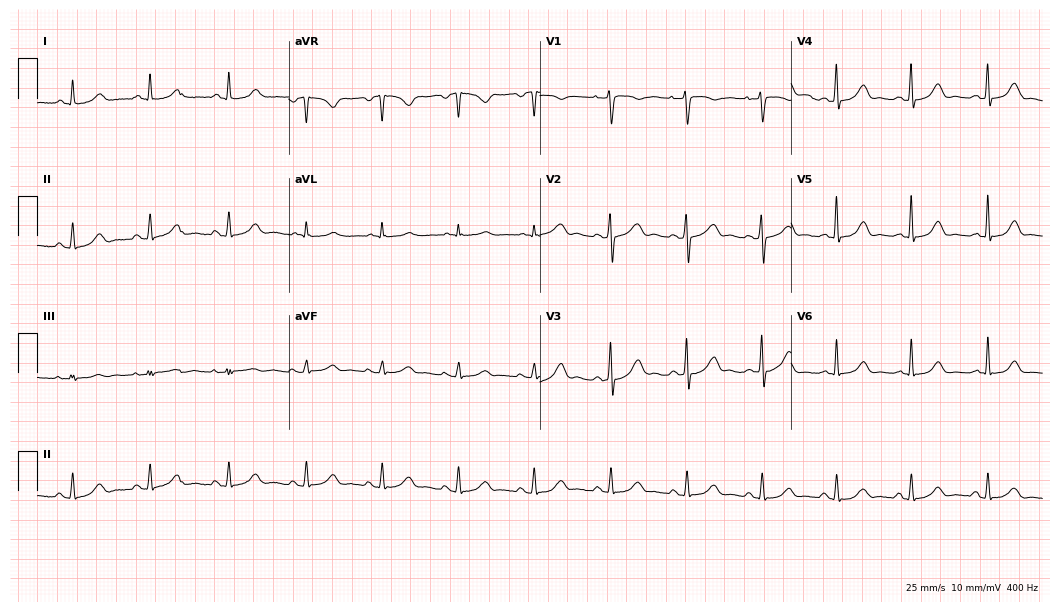
Standard 12-lead ECG recorded from a 41-year-old woman. Read as a normal ECG.